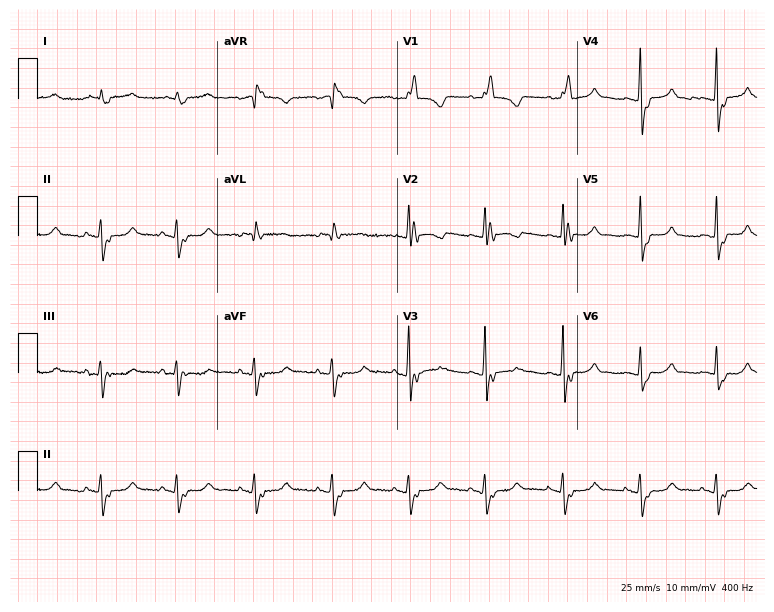
12-lead ECG (7.3-second recording at 400 Hz) from a female patient, 61 years old. Findings include right bundle branch block (RBBB).